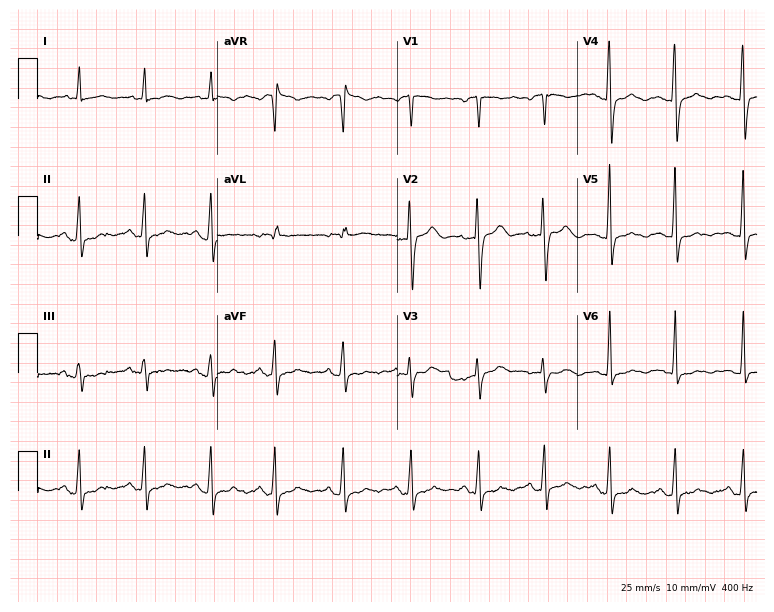
Electrocardiogram (7.3-second recording at 400 Hz), a 50-year-old woman. Of the six screened findings (first-degree AV block, right bundle branch block (RBBB), left bundle branch block (LBBB), sinus bradycardia, atrial fibrillation (AF), sinus tachycardia), none is recorded.